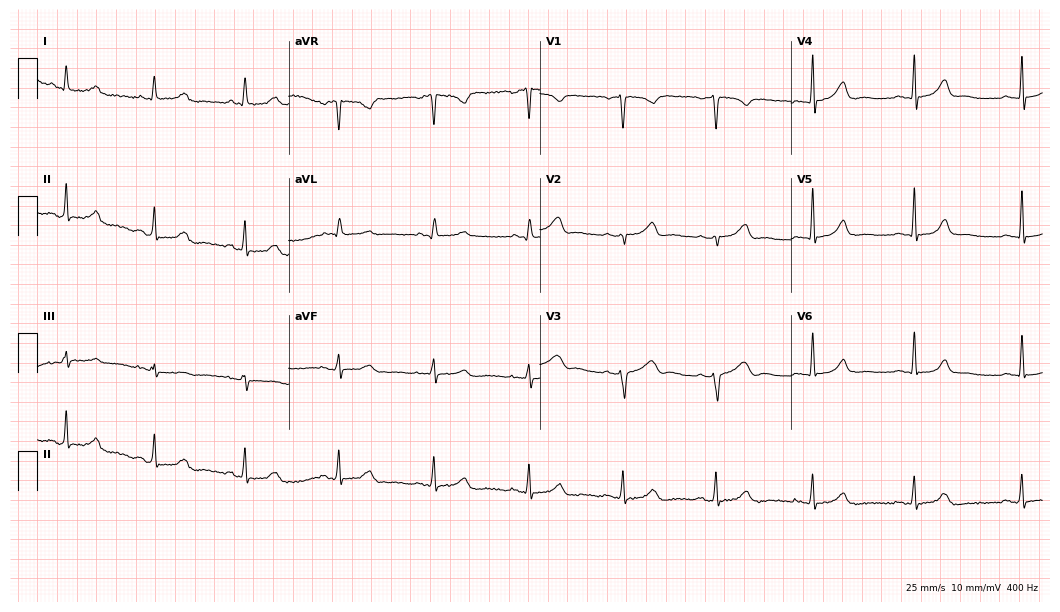
12-lead ECG from a female, 55 years old. Recorded interpretation: within normal limits.